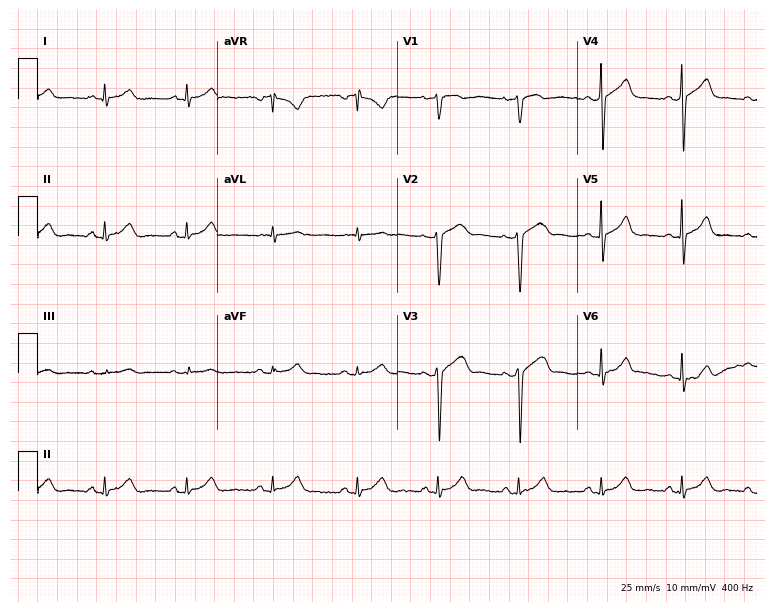
Resting 12-lead electrocardiogram. Patient: a 36-year-old man. Read as a normal ECG.